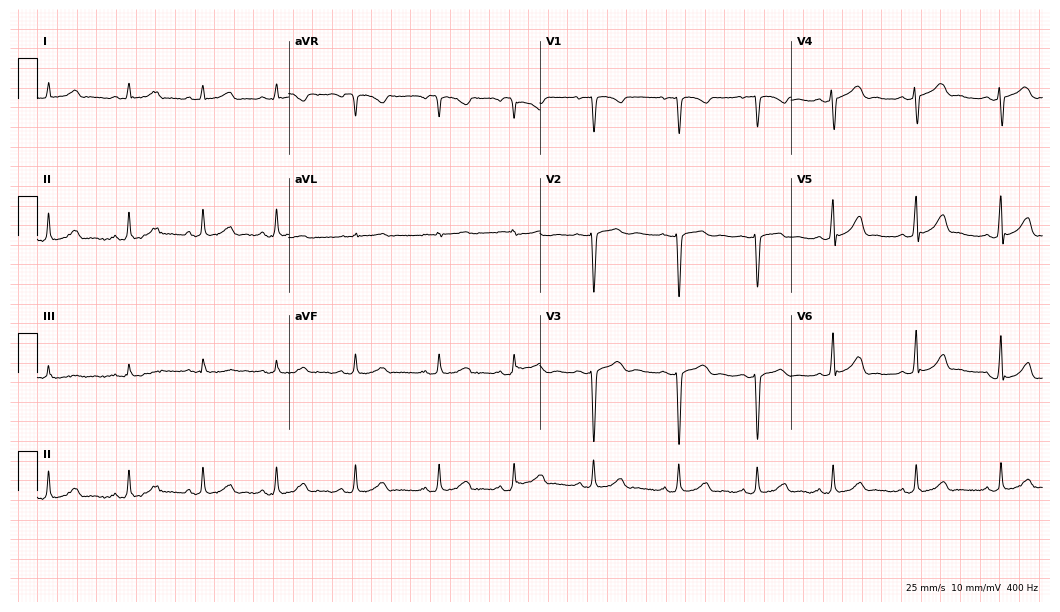
12-lead ECG from a female, 23 years old (10.2-second recording at 400 Hz). Recorded interpretation: within normal limits.